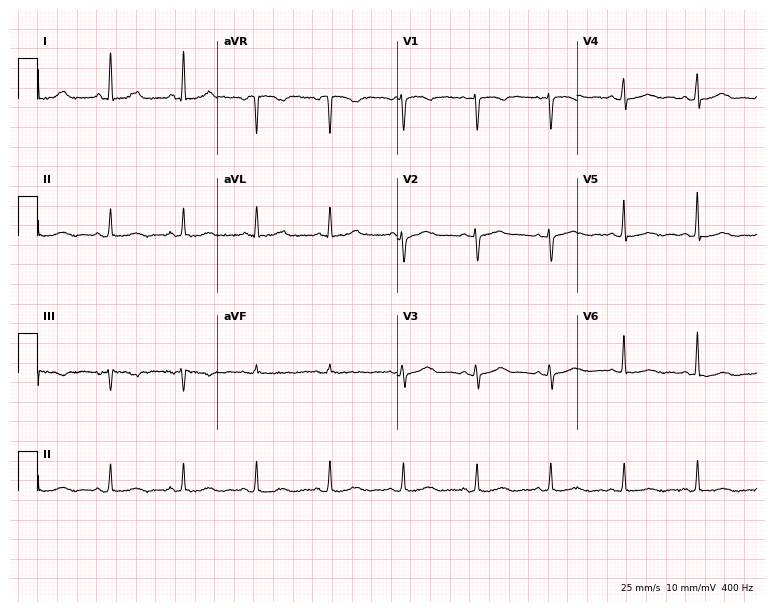
Standard 12-lead ECG recorded from a 50-year-old woman (7.3-second recording at 400 Hz). Read as a normal ECG.